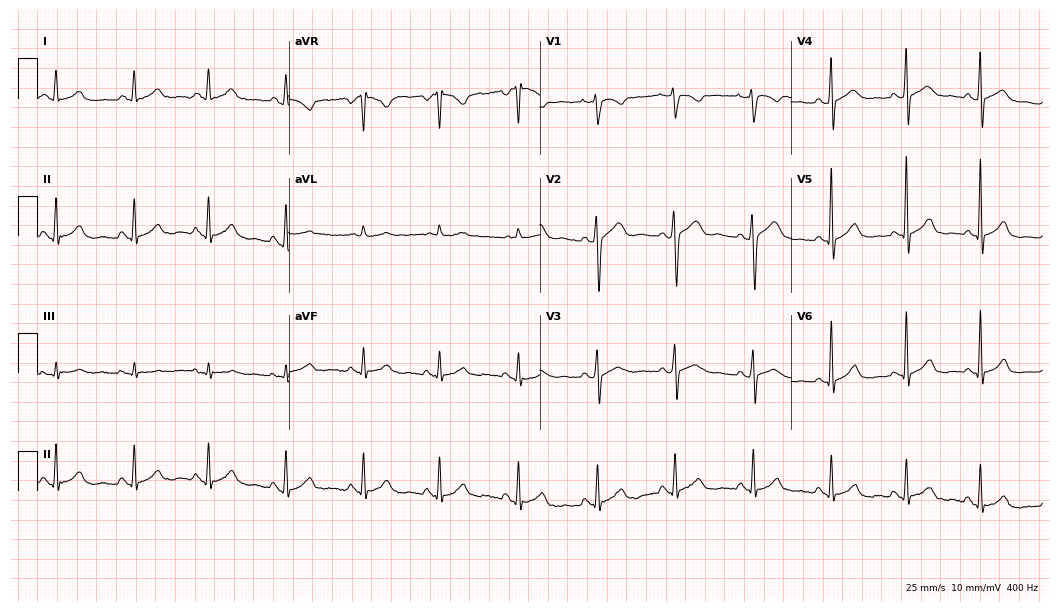
12-lead ECG from a 38-year-old female patient. Recorded interpretation: within normal limits.